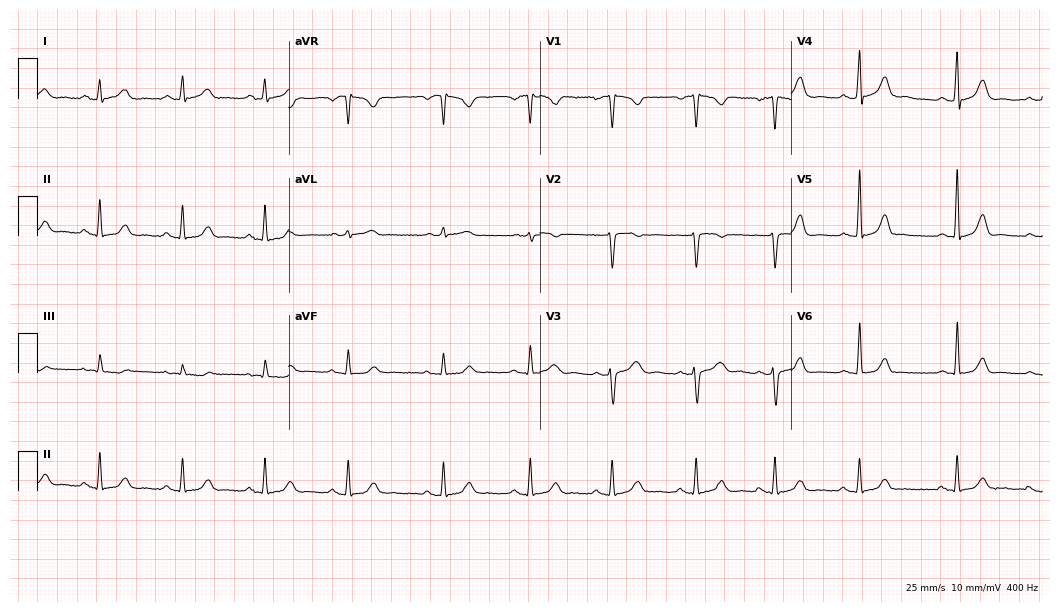
ECG (10.2-second recording at 400 Hz) — a female patient, 31 years old. Labelled as a normal ECG.